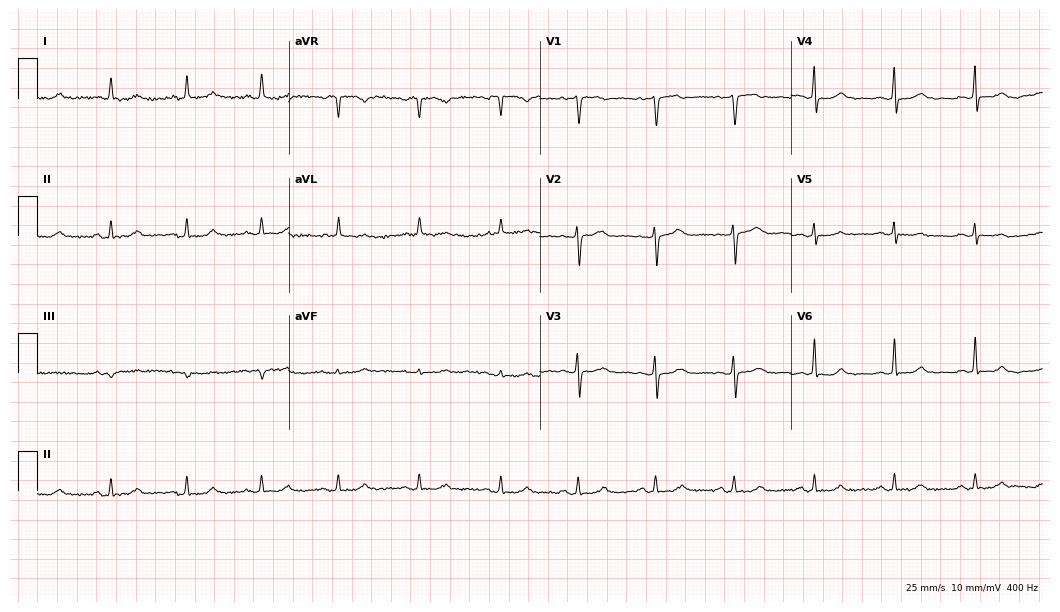
Resting 12-lead electrocardiogram (10.2-second recording at 400 Hz). Patient: a 70-year-old female. Read as a normal ECG.